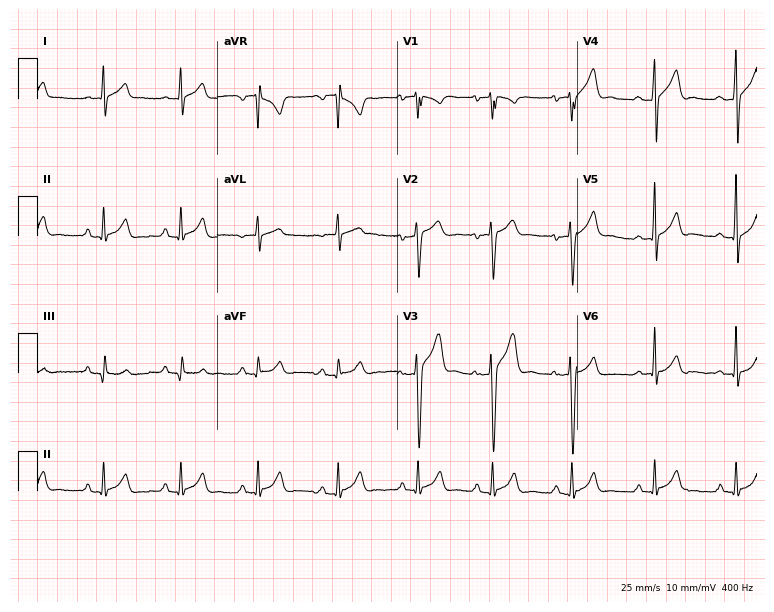
Resting 12-lead electrocardiogram. Patient: a male, 24 years old. Read as a normal ECG.